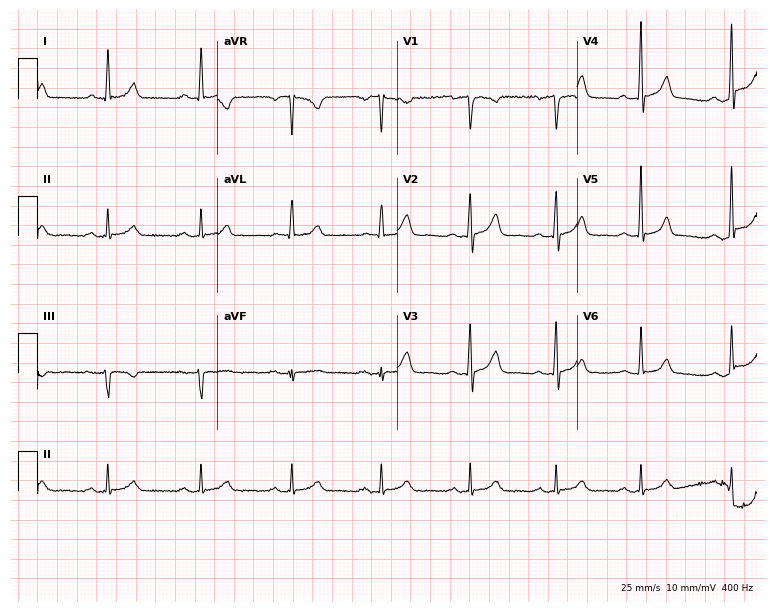
12-lead ECG from a 53-year-old male. Recorded interpretation: within normal limits.